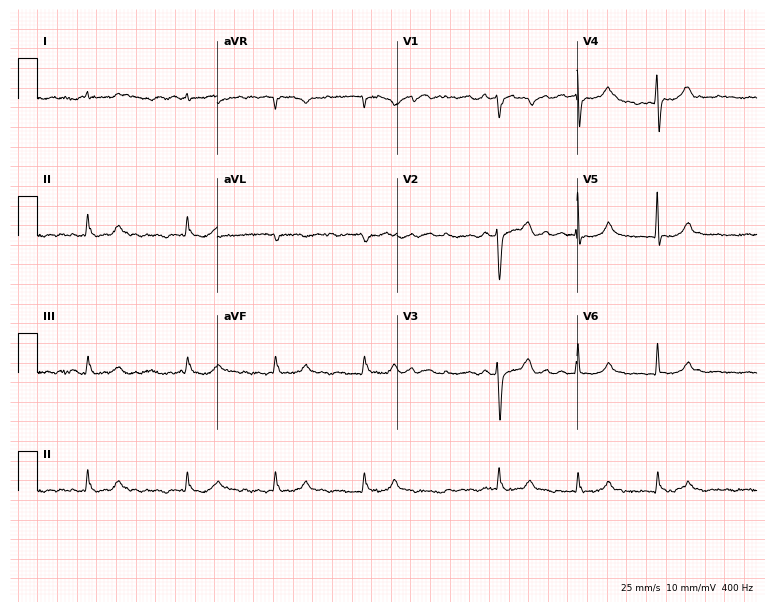
12-lead ECG from a male patient, 85 years old. Shows atrial fibrillation.